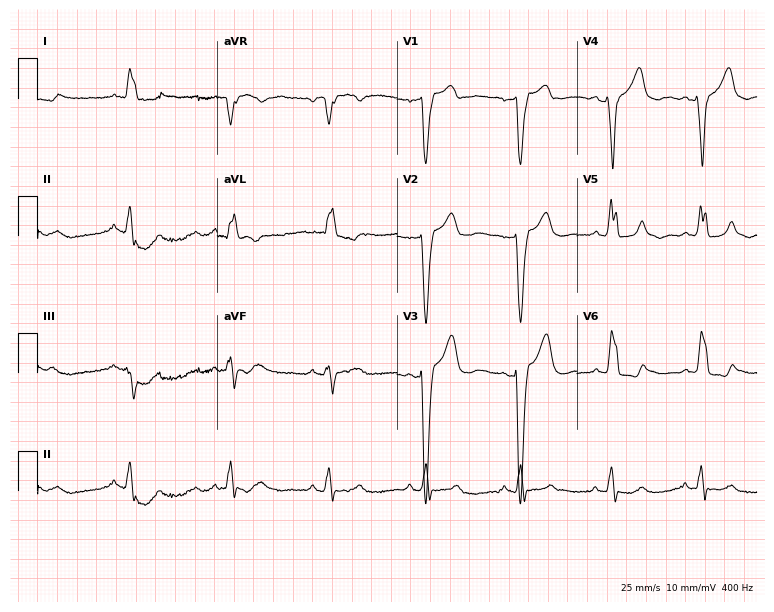
Electrocardiogram, a woman, 74 years old. Interpretation includes left bundle branch block (LBBB).